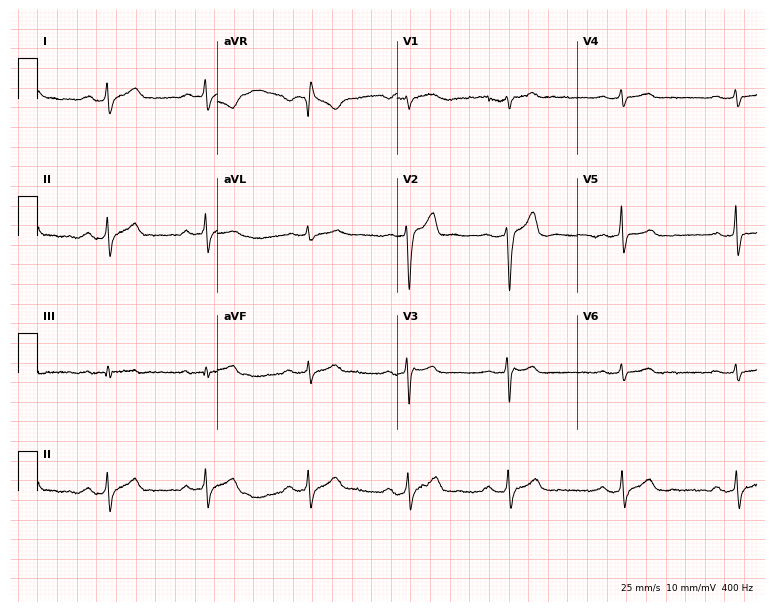
12-lead ECG from a man, 50 years old. Shows first-degree AV block.